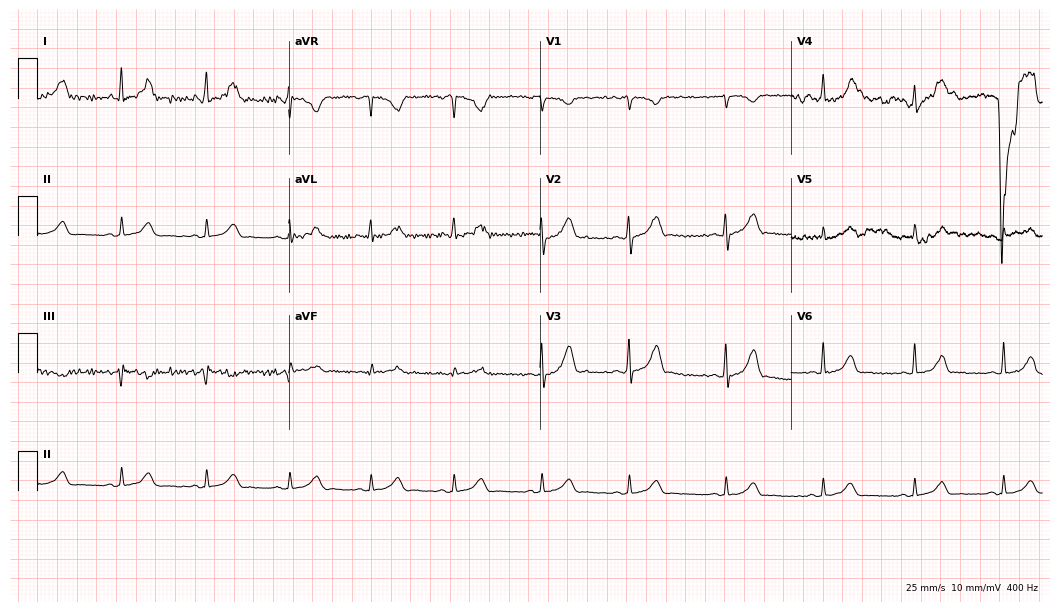
ECG — a female patient, 40 years old. Screened for six findings — first-degree AV block, right bundle branch block, left bundle branch block, sinus bradycardia, atrial fibrillation, sinus tachycardia — none is recorded.